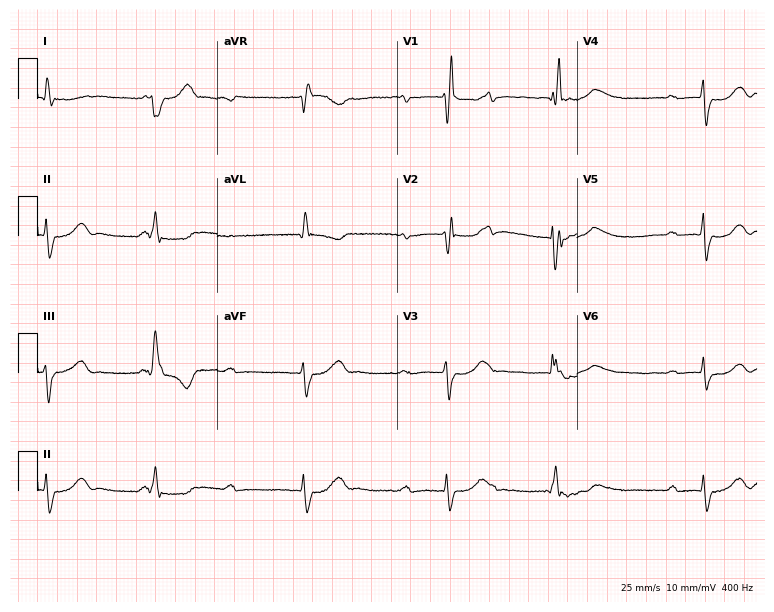
ECG — a female, 82 years old. Screened for six findings — first-degree AV block, right bundle branch block, left bundle branch block, sinus bradycardia, atrial fibrillation, sinus tachycardia — none is recorded.